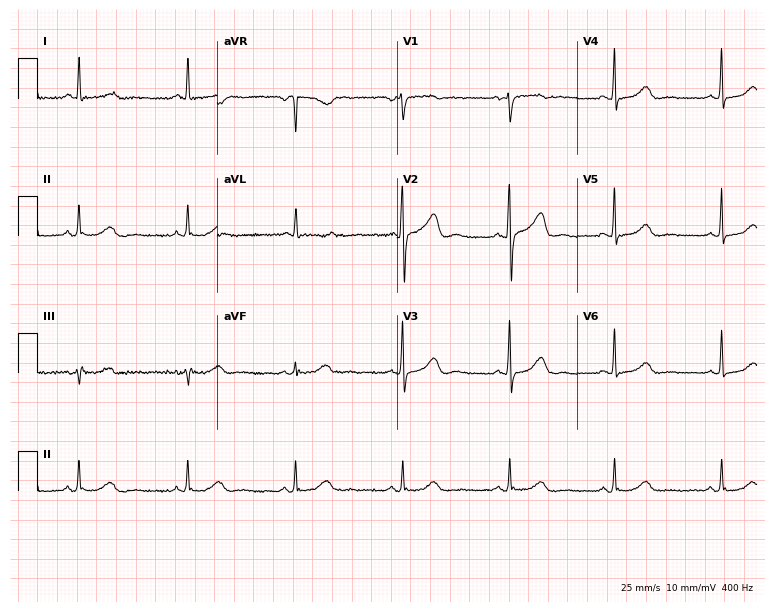
12-lead ECG from a female patient, 55 years old (7.3-second recording at 400 Hz). No first-degree AV block, right bundle branch block (RBBB), left bundle branch block (LBBB), sinus bradycardia, atrial fibrillation (AF) or sinus tachycardia recorded for this tracing.